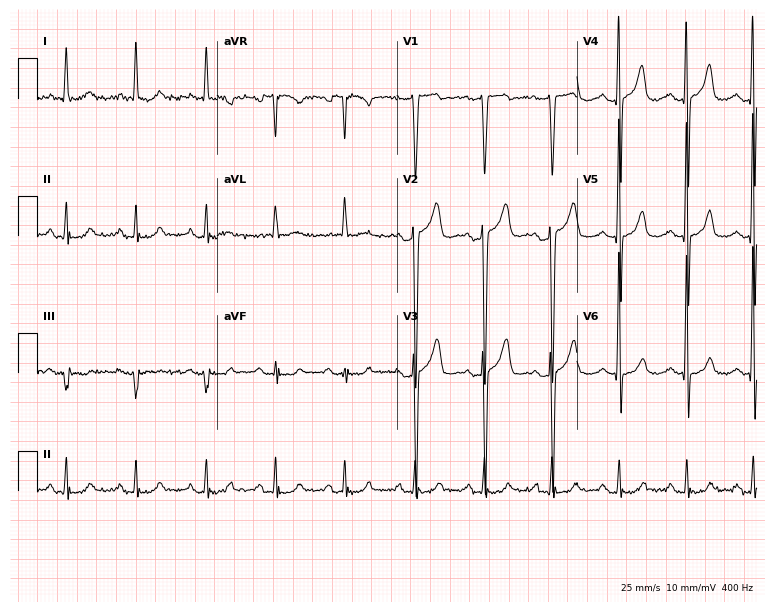
12-lead ECG from a male patient, 65 years old. Screened for six findings — first-degree AV block, right bundle branch block, left bundle branch block, sinus bradycardia, atrial fibrillation, sinus tachycardia — none is recorded.